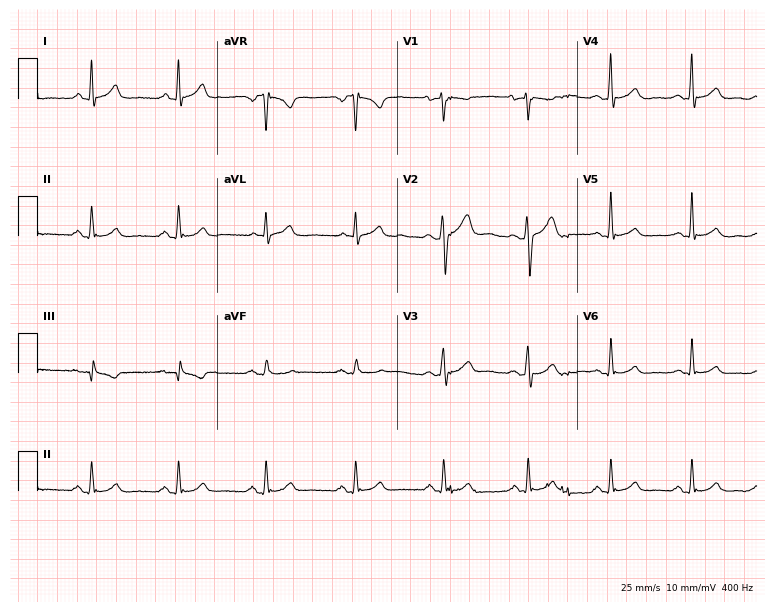
Resting 12-lead electrocardiogram (7.3-second recording at 400 Hz). Patient: a 46-year-old male. Read as a normal ECG.